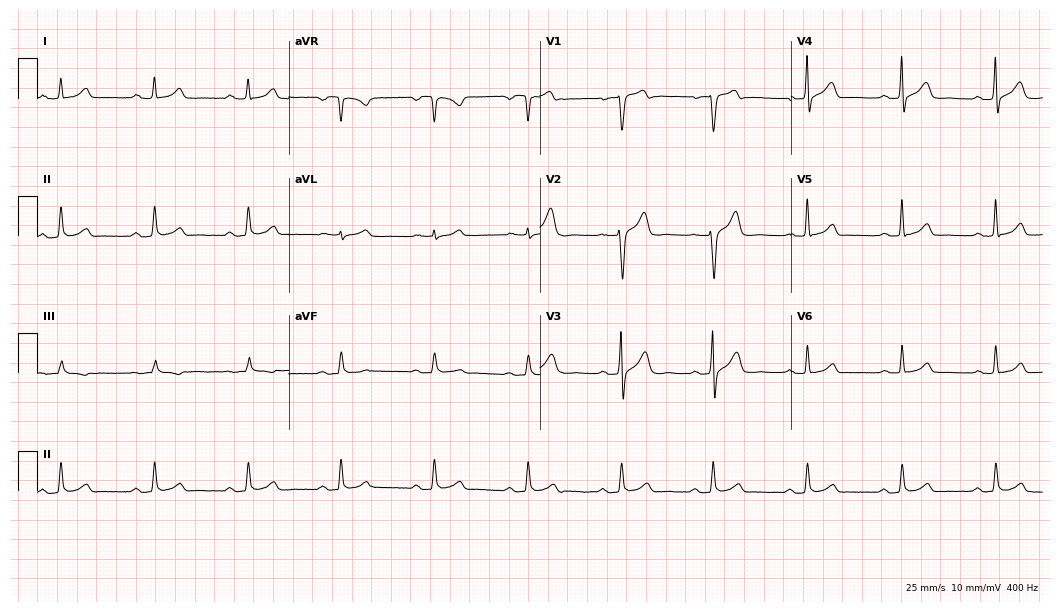
12-lead ECG from a 41-year-old male (10.2-second recording at 400 Hz). No first-degree AV block, right bundle branch block (RBBB), left bundle branch block (LBBB), sinus bradycardia, atrial fibrillation (AF) or sinus tachycardia recorded for this tracing.